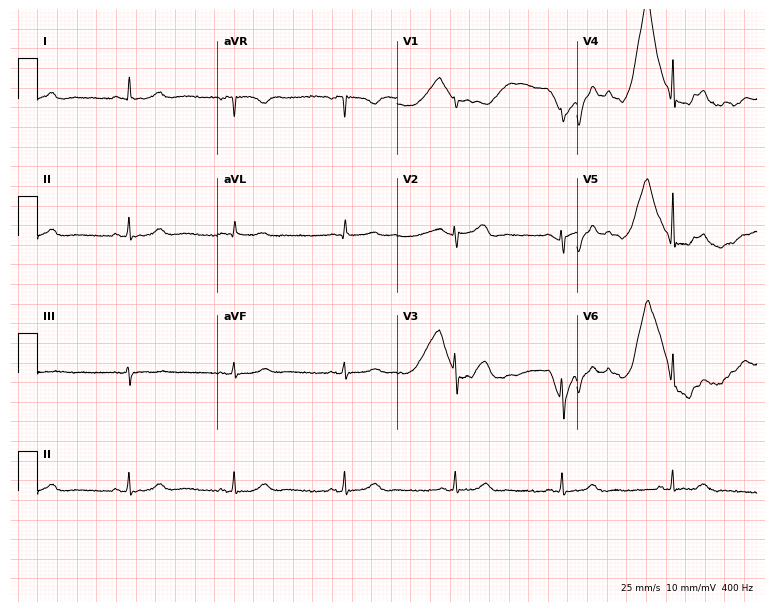
Standard 12-lead ECG recorded from a female, 77 years old. Read as a normal ECG.